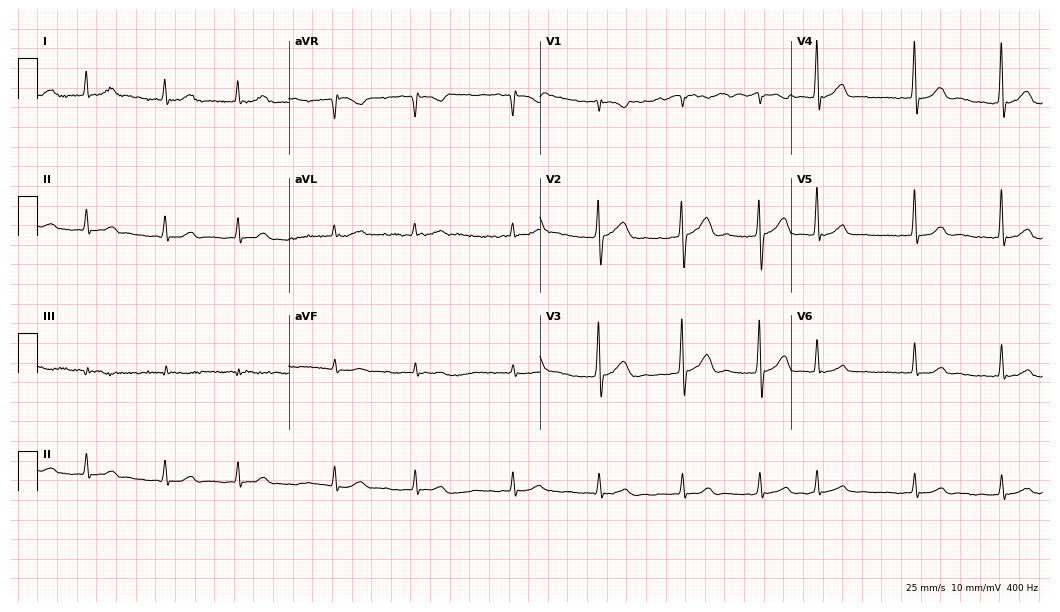
Resting 12-lead electrocardiogram (10.2-second recording at 400 Hz). Patient: an 82-year-old male. The tracing shows atrial fibrillation (AF).